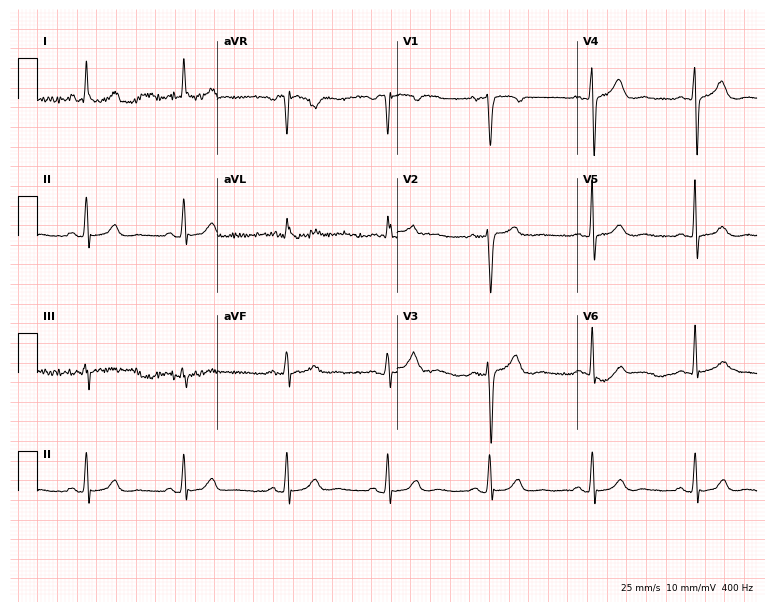
12-lead ECG (7.3-second recording at 400 Hz) from a 68-year-old female patient. Screened for six findings — first-degree AV block, right bundle branch block, left bundle branch block, sinus bradycardia, atrial fibrillation, sinus tachycardia — none is recorded.